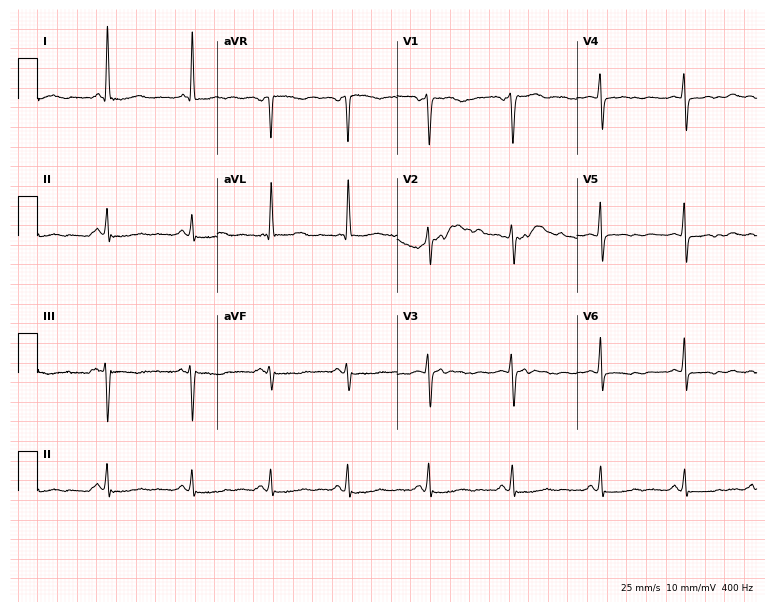
12-lead ECG (7.3-second recording at 400 Hz) from a woman, 50 years old. Screened for six findings — first-degree AV block, right bundle branch block, left bundle branch block, sinus bradycardia, atrial fibrillation, sinus tachycardia — none is recorded. Other findings, if any, are not listed.